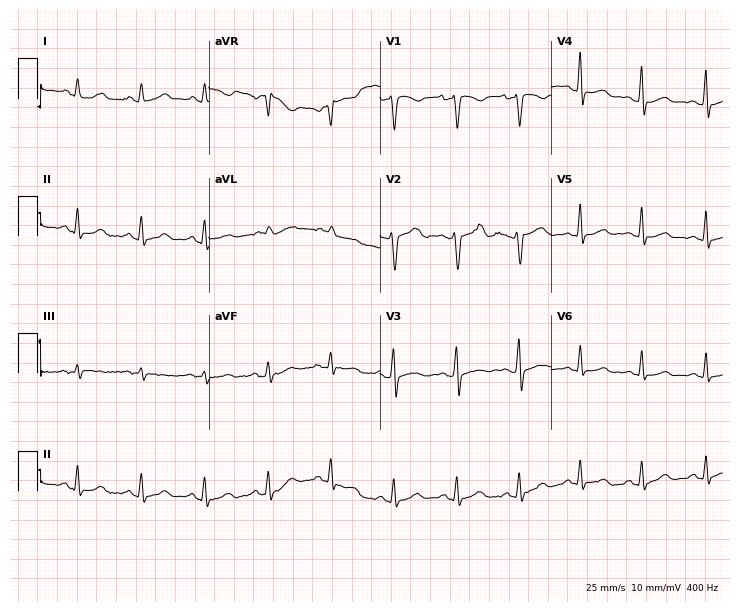
Electrocardiogram (7-second recording at 400 Hz), a female, 29 years old. Overall reading on record: normal ECG.